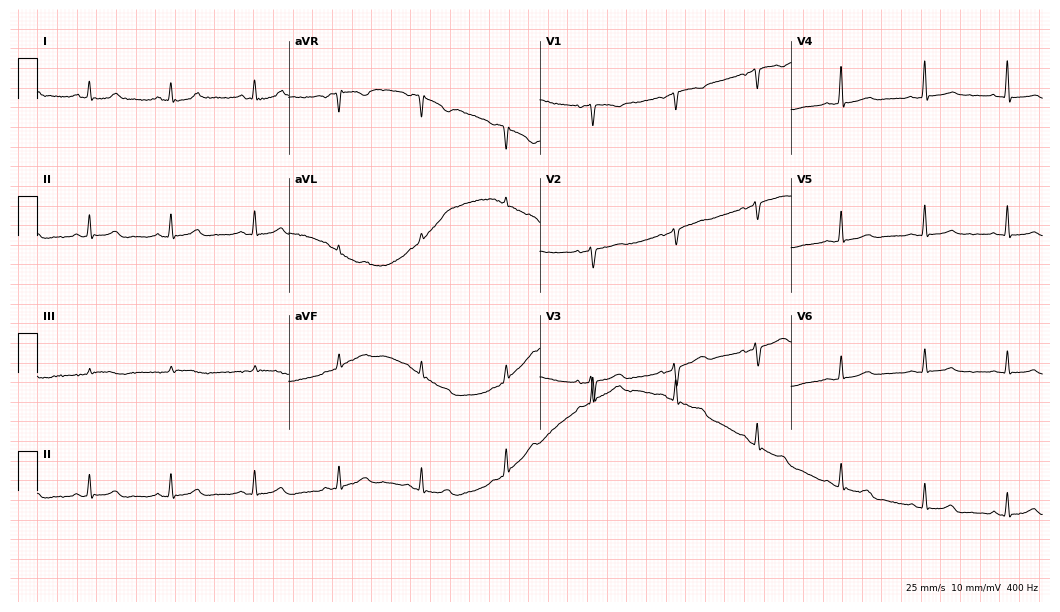
ECG (10.2-second recording at 400 Hz) — a female patient, 50 years old. Labelled as a normal ECG.